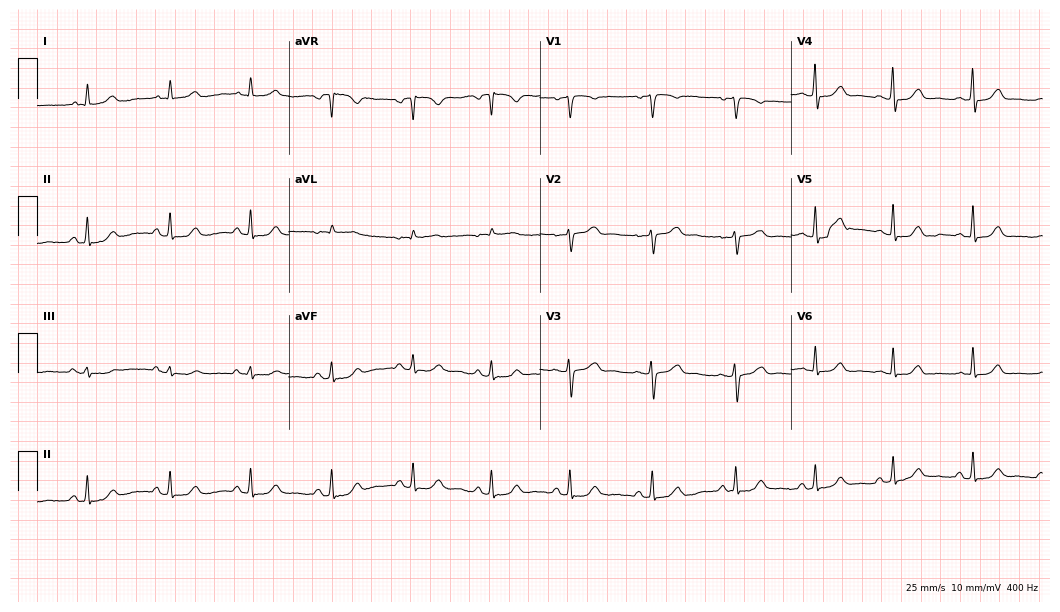
Standard 12-lead ECG recorded from a woman, 40 years old. Read as a normal ECG.